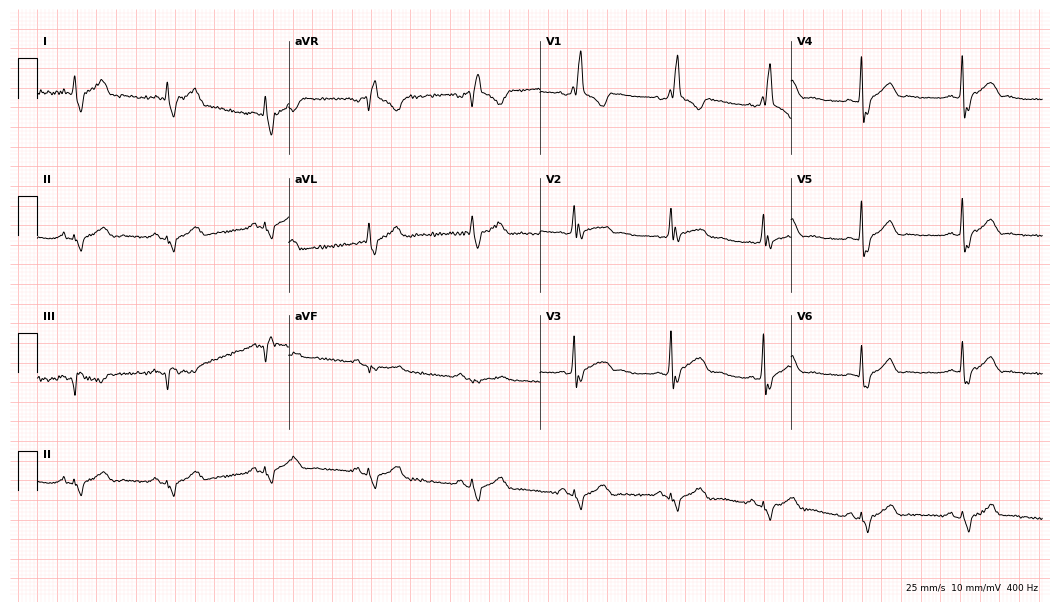
ECG (10.2-second recording at 400 Hz) — a 43-year-old male. Findings include right bundle branch block (RBBB).